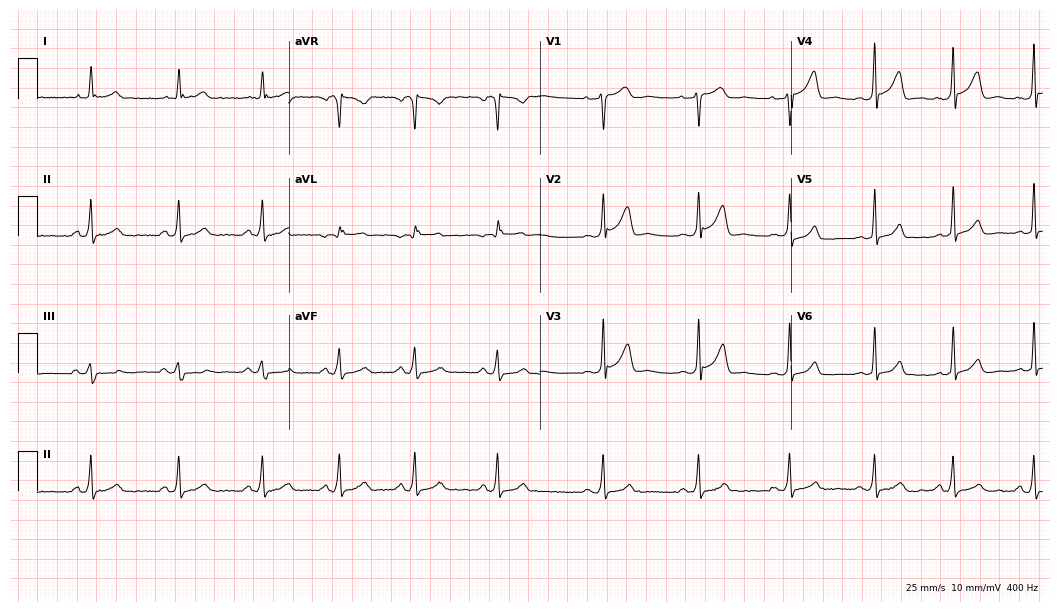
Resting 12-lead electrocardiogram. Patient: a male, 36 years old. None of these six findings is recorded: first-degree AV block, right bundle branch block, left bundle branch block, sinus bradycardia, atrial fibrillation, sinus tachycardia.